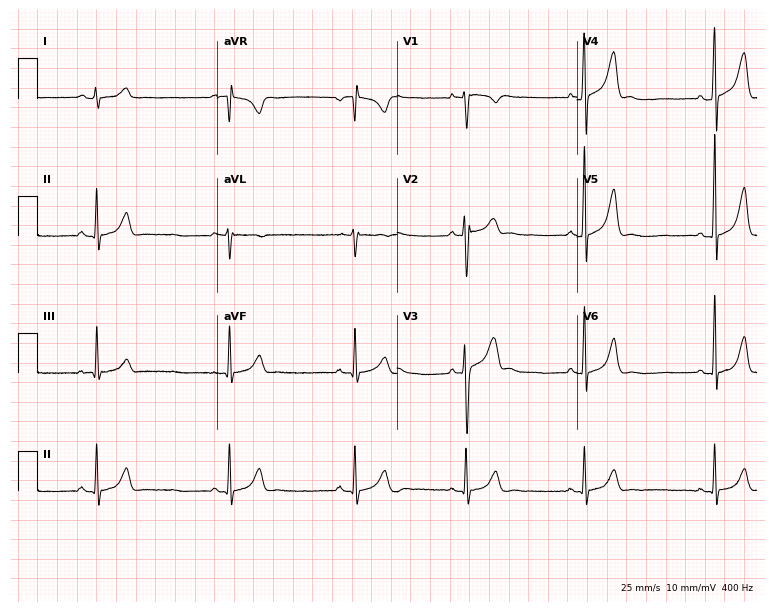
12-lead ECG from a woman, 21 years old (7.3-second recording at 400 Hz). Shows sinus bradycardia (a sinus rate of 50 beats per minute or less).